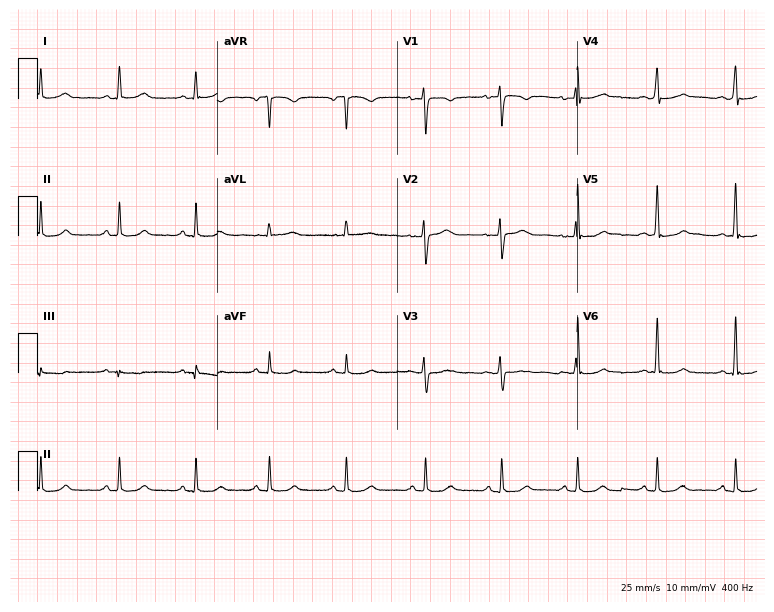
12-lead ECG (7.3-second recording at 400 Hz) from a female patient, 43 years old. Screened for six findings — first-degree AV block, right bundle branch block, left bundle branch block, sinus bradycardia, atrial fibrillation, sinus tachycardia — none is recorded.